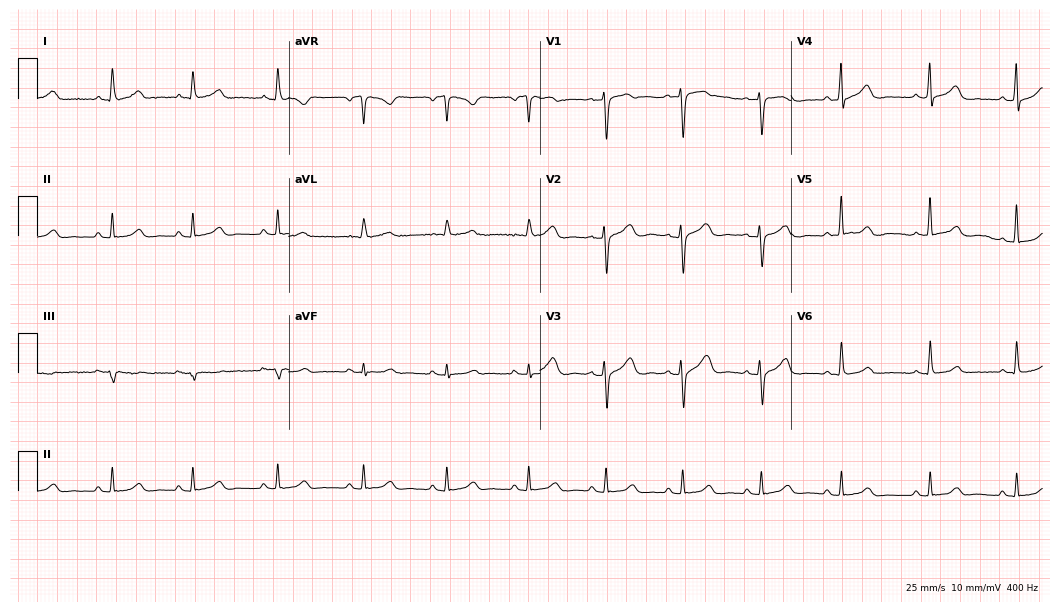
12-lead ECG from a 42-year-old woman. Recorded interpretation: within normal limits.